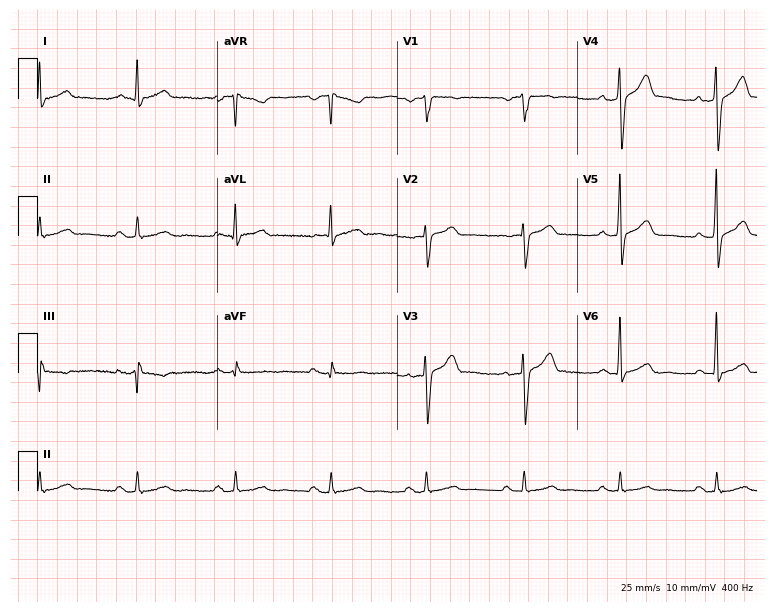
ECG — a male patient, 62 years old. Findings include first-degree AV block.